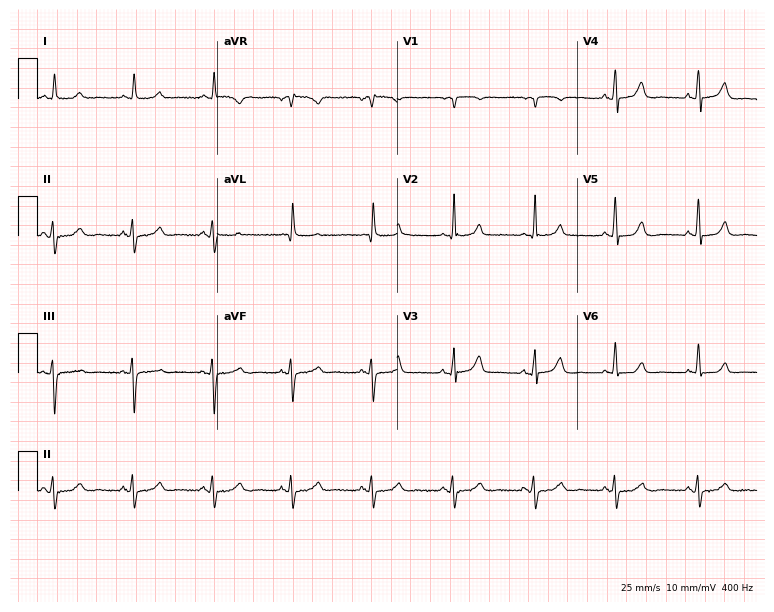
12-lead ECG from a female, 65 years old. No first-degree AV block, right bundle branch block (RBBB), left bundle branch block (LBBB), sinus bradycardia, atrial fibrillation (AF) or sinus tachycardia recorded for this tracing. Other findings, if any, are not listed.